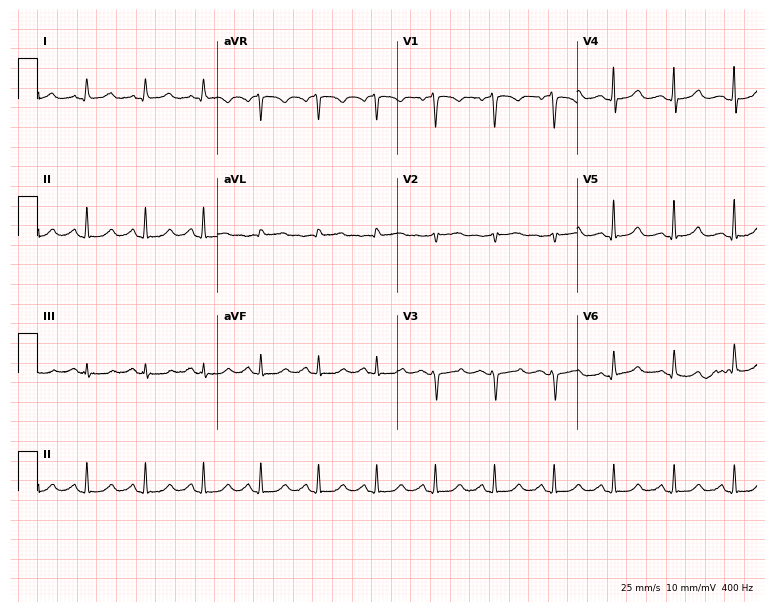
Electrocardiogram, a 46-year-old woman. Interpretation includes sinus tachycardia (a sinus rate of 100 beats per minute or more).